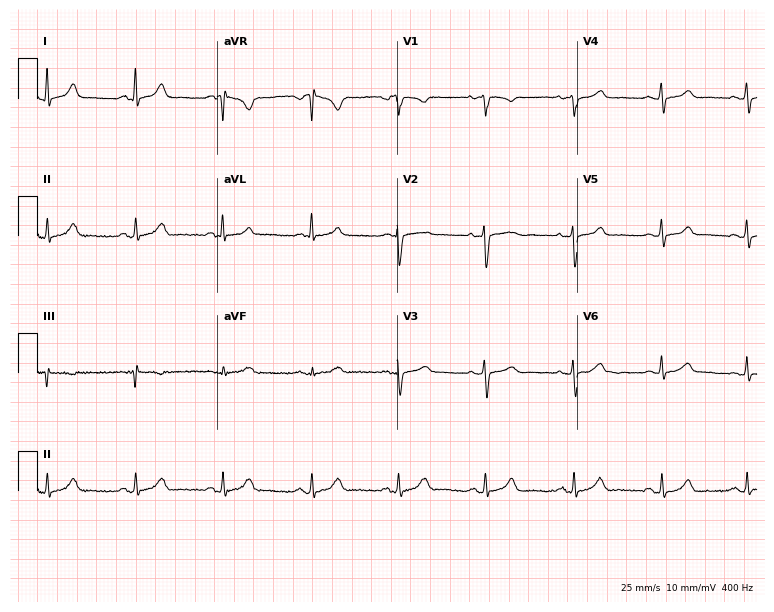
ECG (7.3-second recording at 400 Hz) — a 38-year-old female patient. Labelled as a normal ECG.